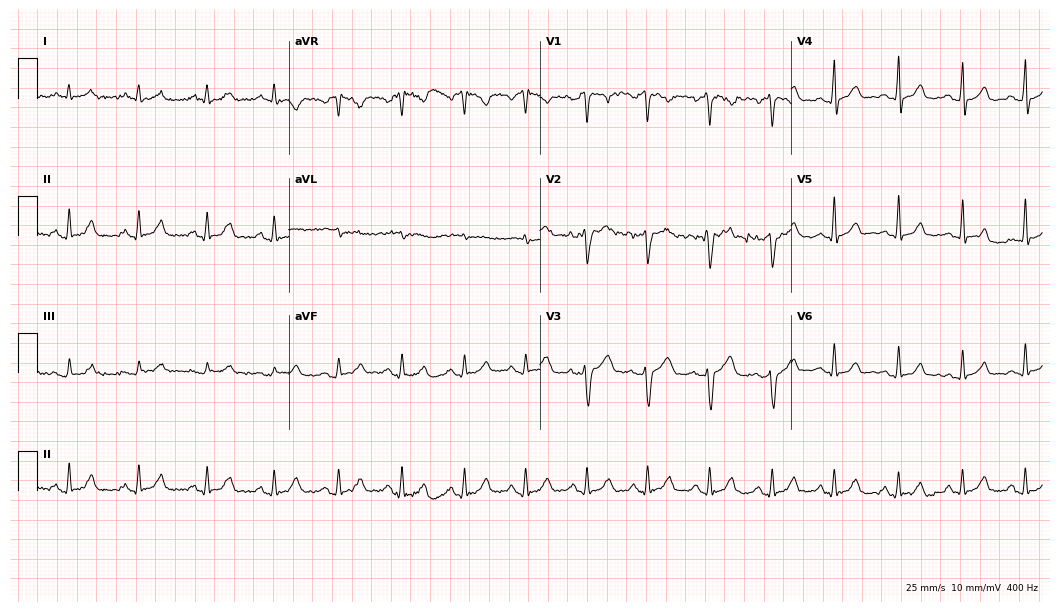
12-lead ECG from a 34-year-old man. Labelled as a normal ECG.